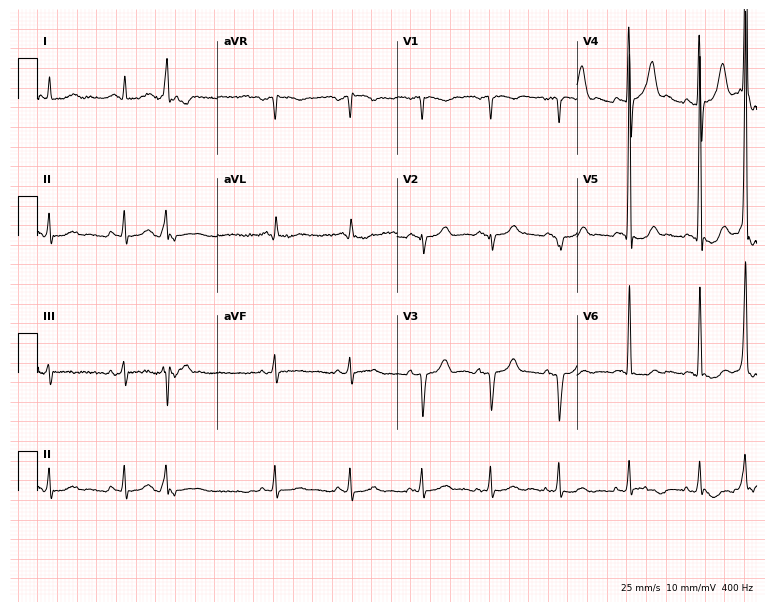
ECG (7.3-second recording at 400 Hz) — an 83-year-old male patient. Screened for six findings — first-degree AV block, right bundle branch block, left bundle branch block, sinus bradycardia, atrial fibrillation, sinus tachycardia — none is recorded. Only these six findings were labelled.